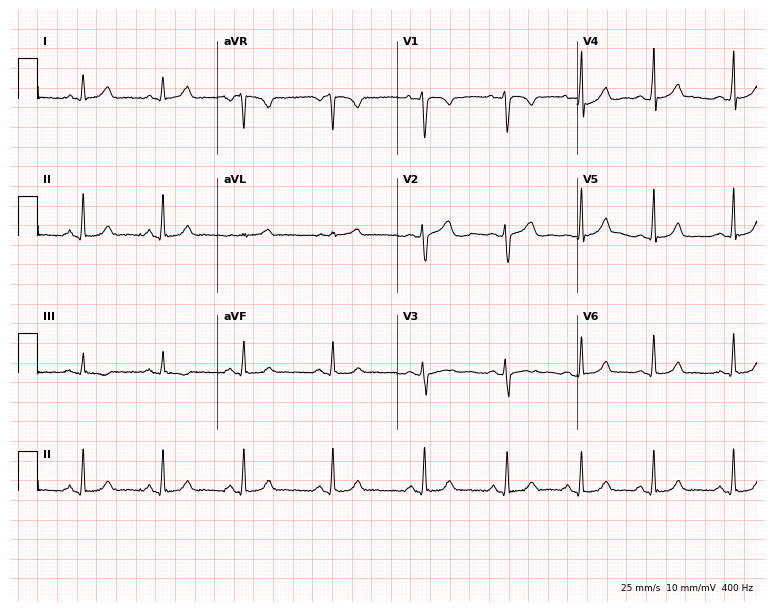
12-lead ECG from a woman, 20 years old. Recorded interpretation: within normal limits.